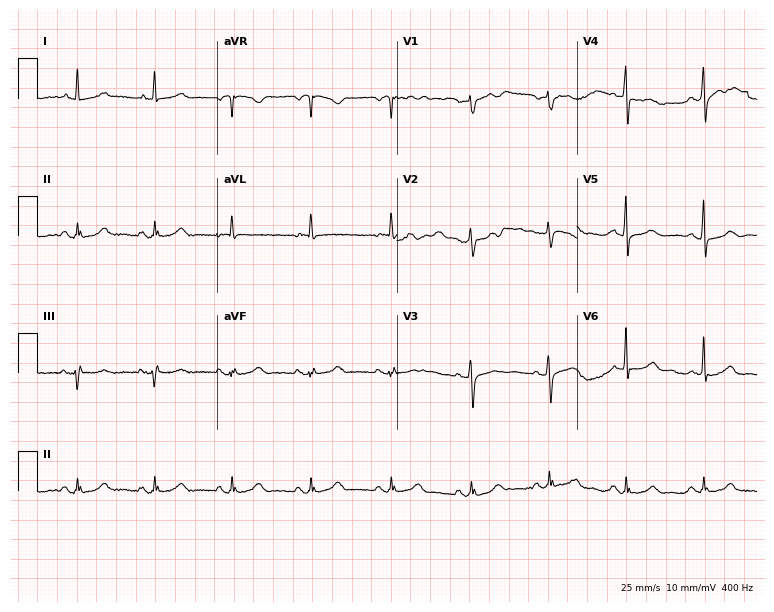
ECG (7.3-second recording at 400 Hz) — a female, 75 years old. Screened for six findings — first-degree AV block, right bundle branch block, left bundle branch block, sinus bradycardia, atrial fibrillation, sinus tachycardia — none is recorded.